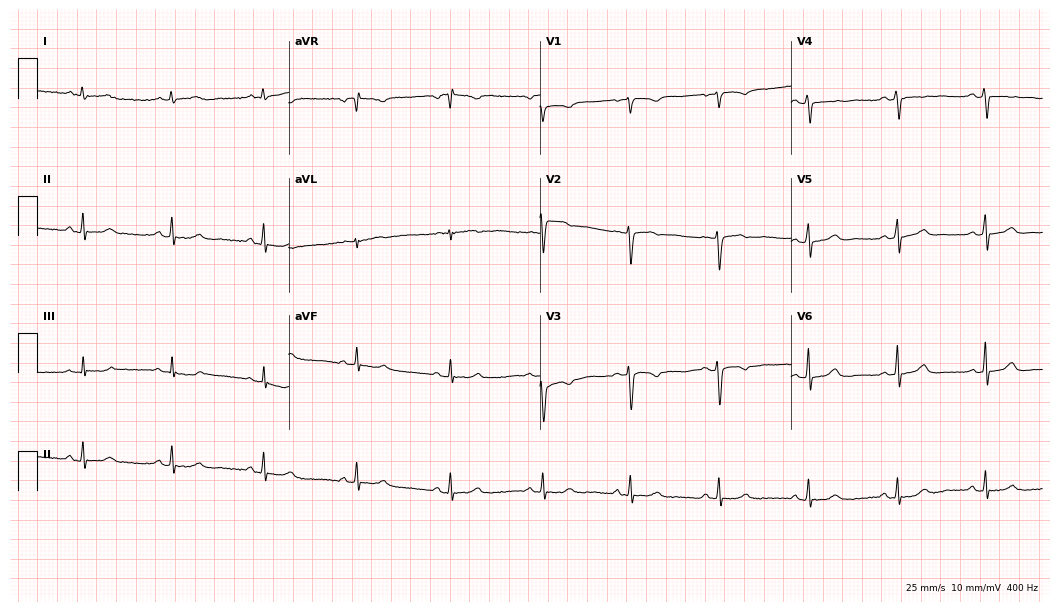
12-lead ECG from a woman, 28 years old. Recorded interpretation: within normal limits.